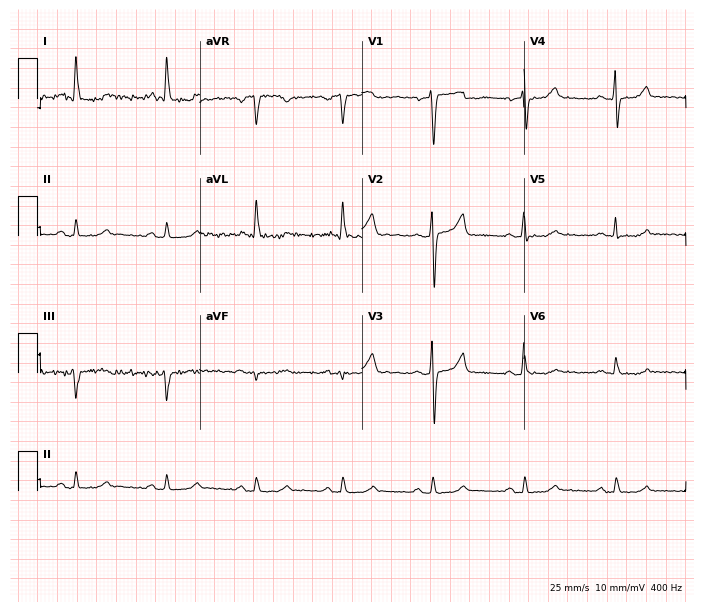
ECG — a 53-year-old woman. Screened for six findings — first-degree AV block, right bundle branch block, left bundle branch block, sinus bradycardia, atrial fibrillation, sinus tachycardia — none is recorded.